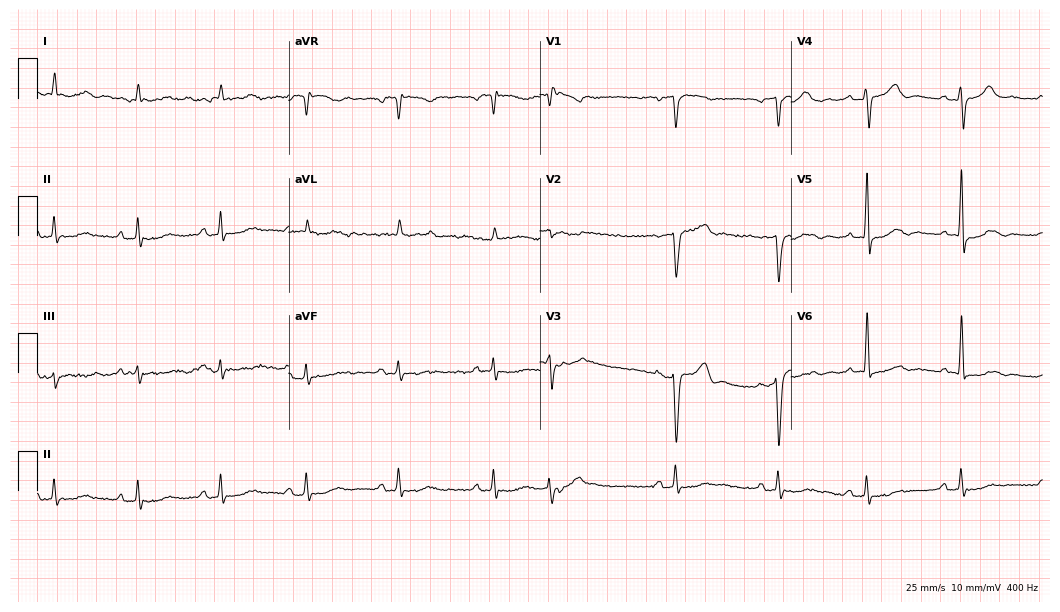
Electrocardiogram, an 84-year-old male. Of the six screened findings (first-degree AV block, right bundle branch block, left bundle branch block, sinus bradycardia, atrial fibrillation, sinus tachycardia), none is recorded.